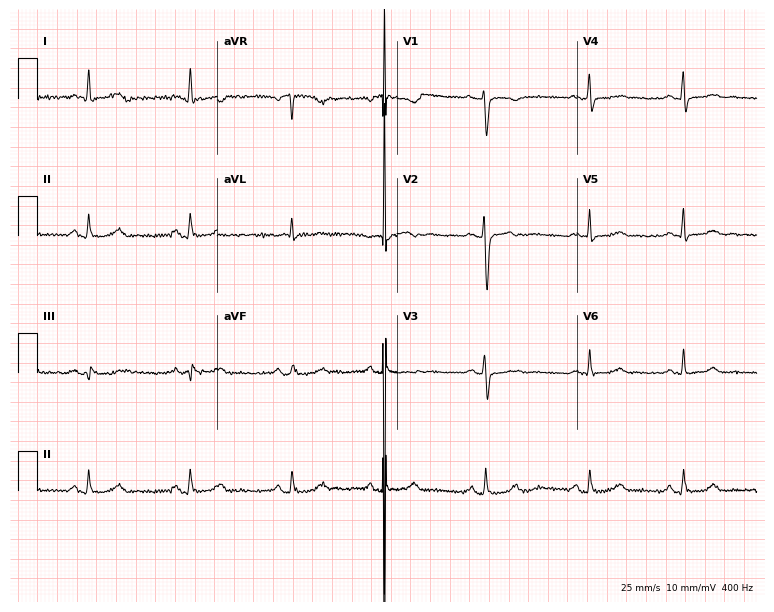
Electrocardiogram, a female patient, 32 years old. Overall reading on record: normal ECG.